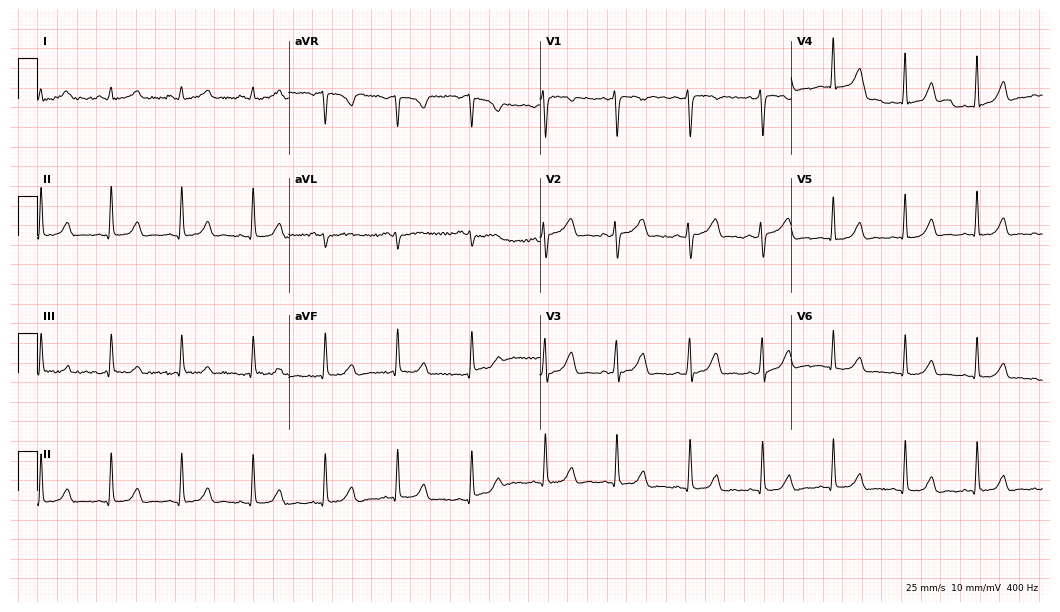
Electrocardiogram, a female patient, 32 years old. Of the six screened findings (first-degree AV block, right bundle branch block (RBBB), left bundle branch block (LBBB), sinus bradycardia, atrial fibrillation (AF), sinus tachycardia), none is recorded. Only these six findings were labelled.